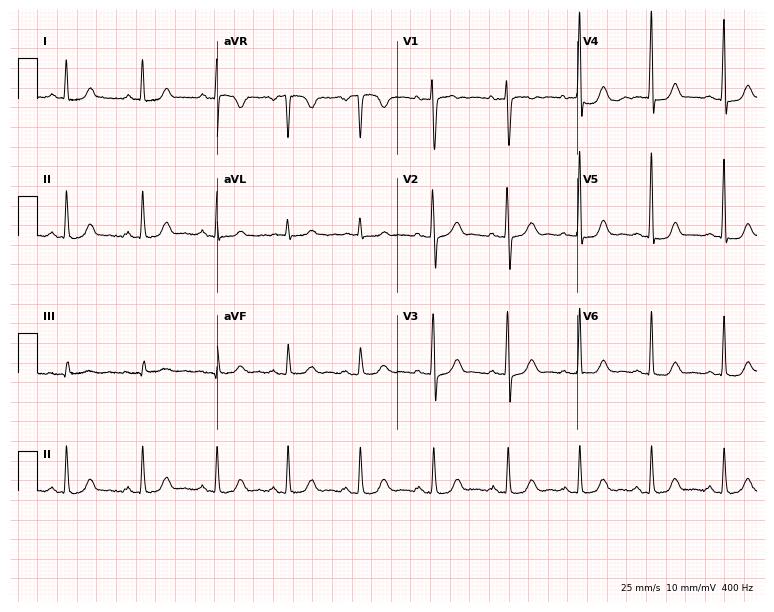
12-lead ECG from a 38-year-old woman. No first-degree AV block, right bundle branch block, left bundle branch block, sinus bradycardia, atrial fibrillation or sinus tachycardia recorded for this tracing. Findings outside these six are not listed.